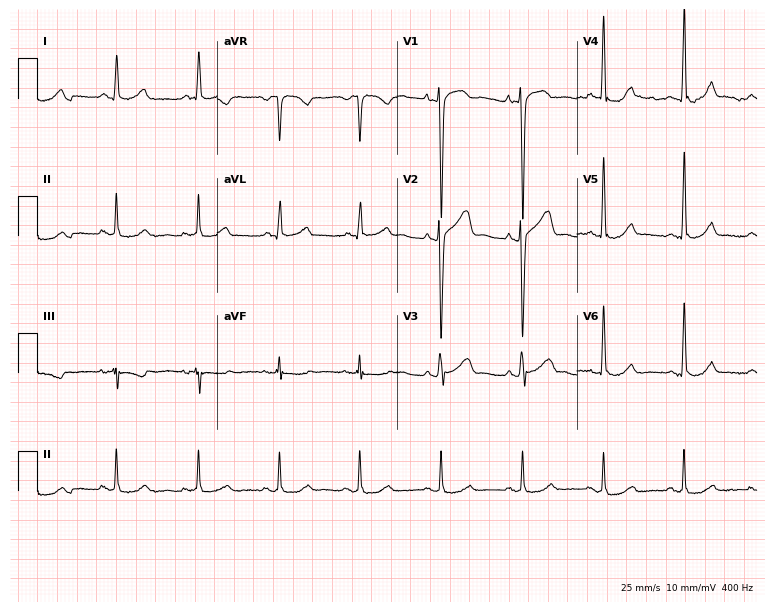
12-lead ECG (7.3-second recording at 400 Hz) from a 57-year-old male. Screened for six findings — first-degree AV block, right bundle branch block, left bundle branch block, sinus bradycardia, atrial fibrillation, sinus tachycardia — none is recorded. Only these six findings were labelled.